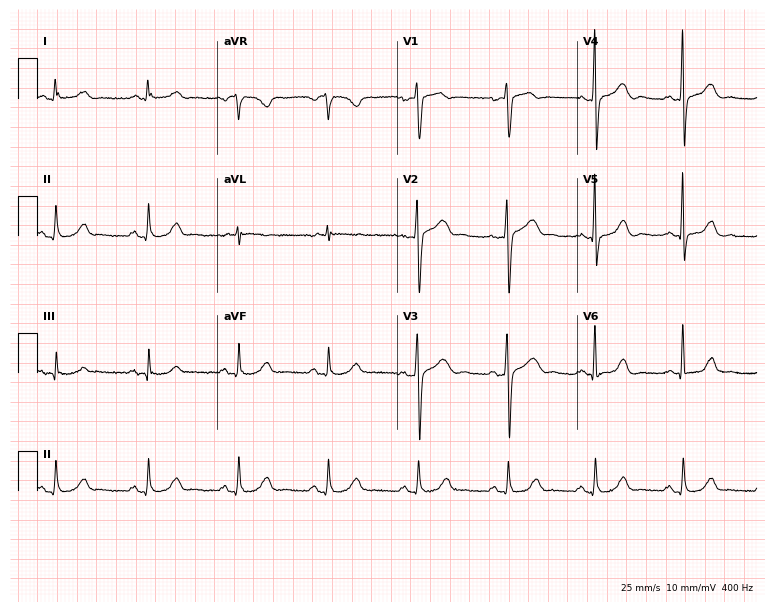
Resting 12-lead electrocardiogram (7.3-second recording at 400 Hz). Patient: a female, 52 years old. Read as a normal ECG.